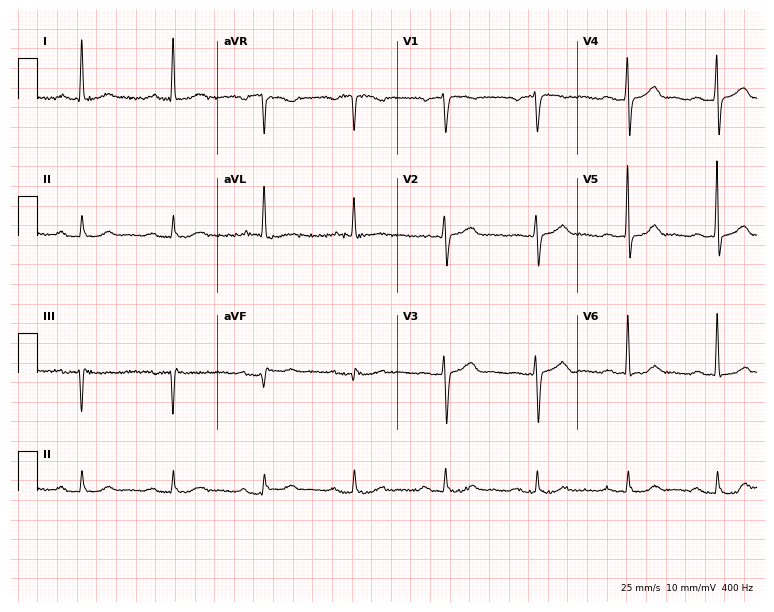
Standard 12-lead ECG recorded from a male, 69 years old (7.3-second recording at 400 Hz). Read as a normal ECG.